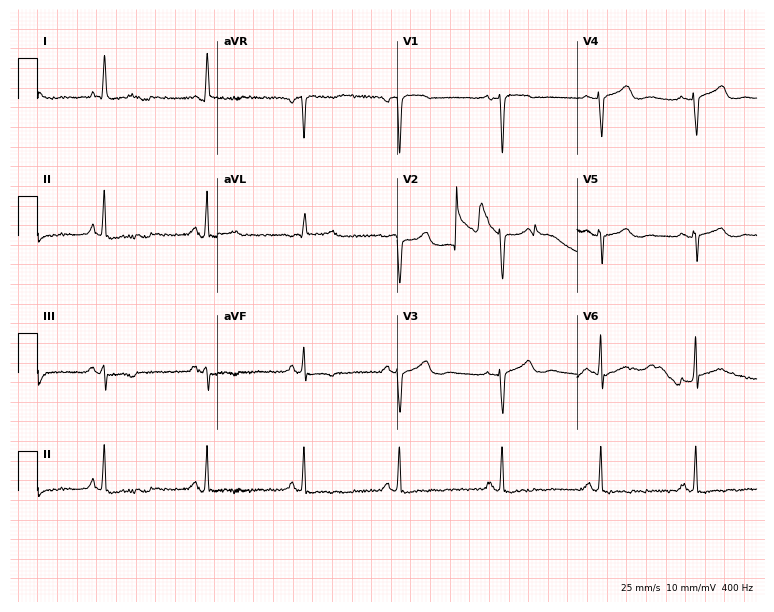
12-lead ECG from a woman, 41 years old (7.3-second recording at 400 Hz). No first-degree AV block, right bundle branch block (RBBB), left bundle branch block (LBBB), sinus bradycardia, atrial fibrillation (AF) or sinus tachycardia recorded for this tracing.